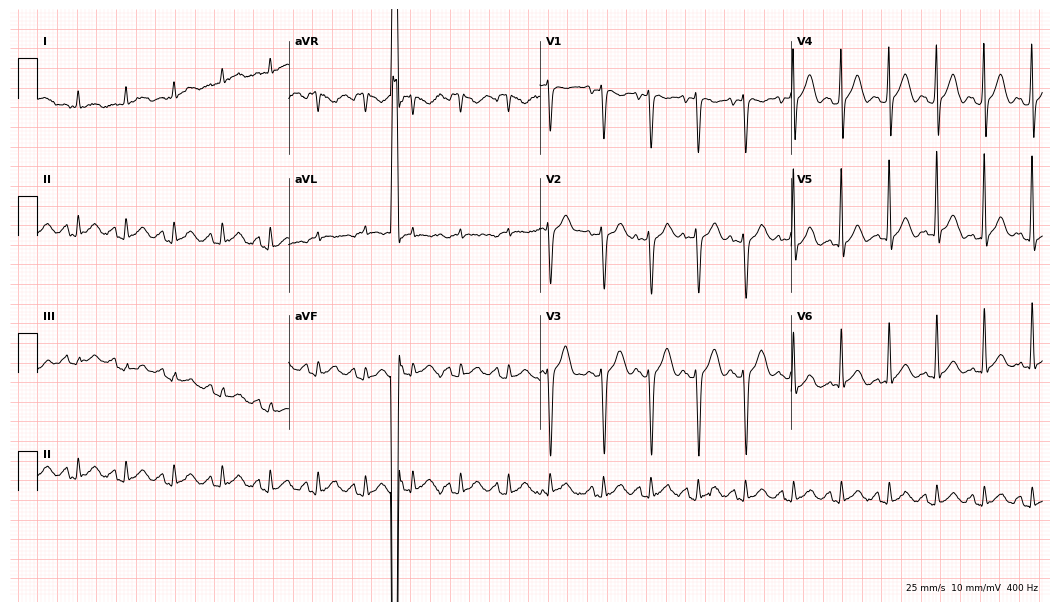
ECG — a man, 65 years old. Findings include sinus tachycardia (a sinus rate of 100 beats per minute or more).